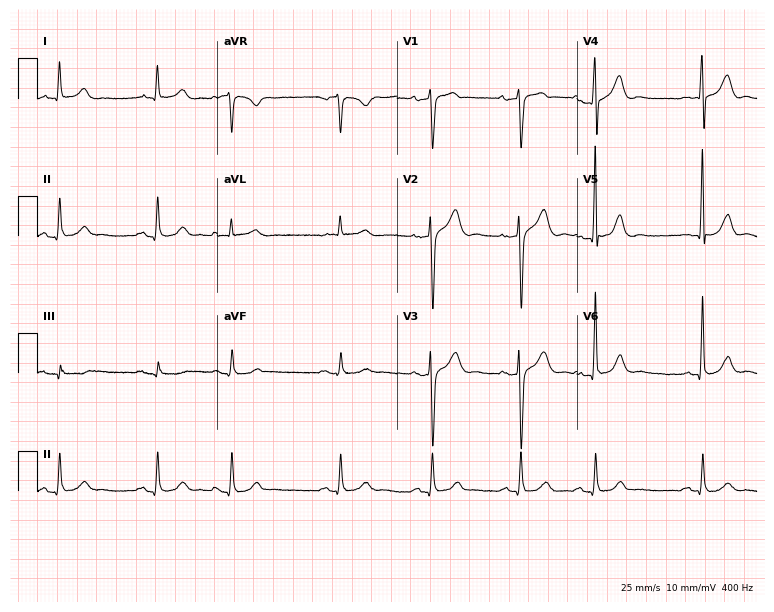
Standard 12-lead ECG recorded from a 75-year-old male patient. None of these six findings is recorded: first-degree AV block, right bundle branch block (RBBB), left bundle branch block (LBBB), sinus bradycardia, atrial fibrillation (AF), sinus tachycardia.